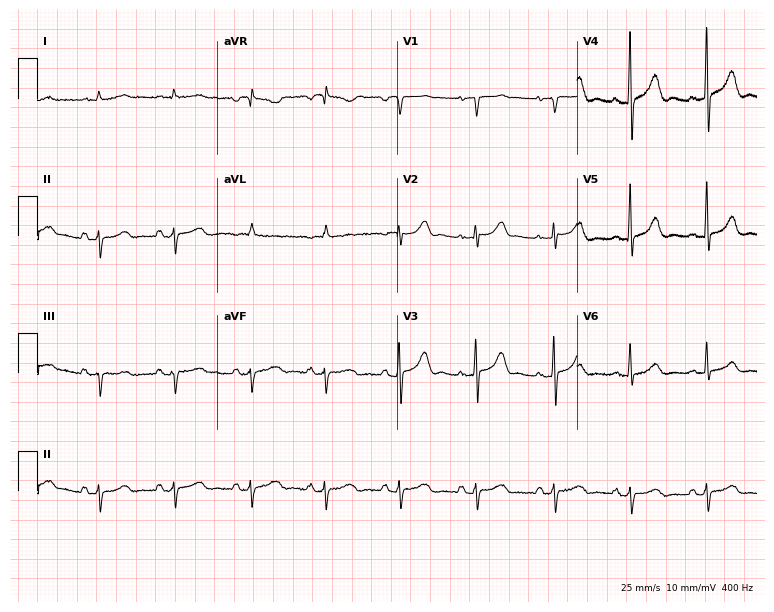
Standard 12-lead ECG recorded from a male, 59 years old (7.3-second recording at 400 Hz). None of these six findings is recorded: first-degree AV block, right bundle branch block, left bundle branch block, sinus bradycardia, atrial fibrillation, sinus tachycardia.